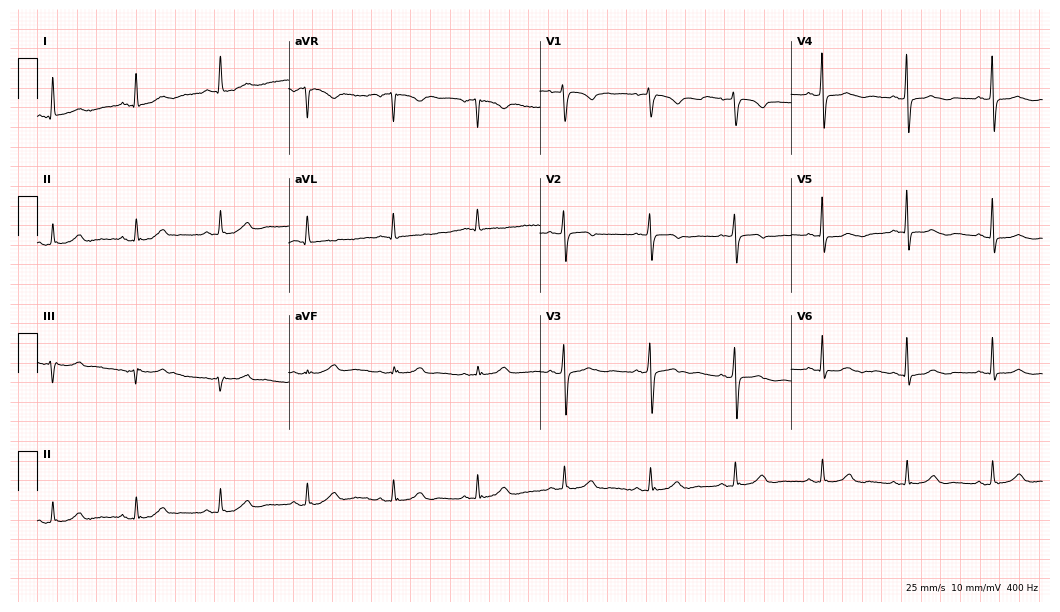
ECG (10.2-second recording at 400 Hz) — a female patient, 64 years old. Screened for six findings — first-degree AV block, right bundle branch block, left bundle branch block, sinus bradycardia, atrial fibrillation, sinus tachycardia — none is recorded.